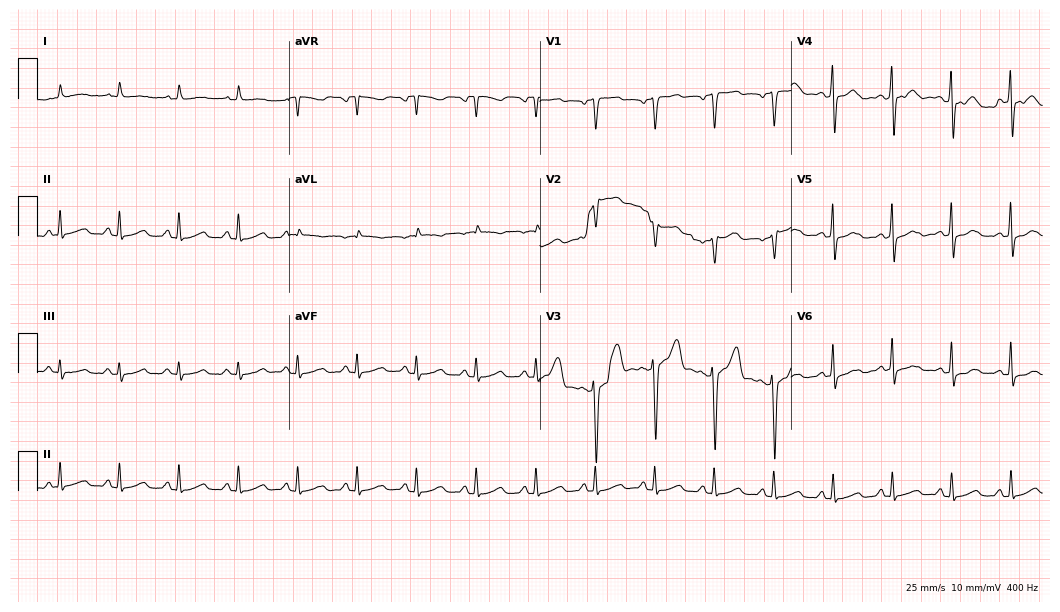
Resting 12-lead electrocardiogram. Patient: a 55-year-old male. Read as a normal ECG.